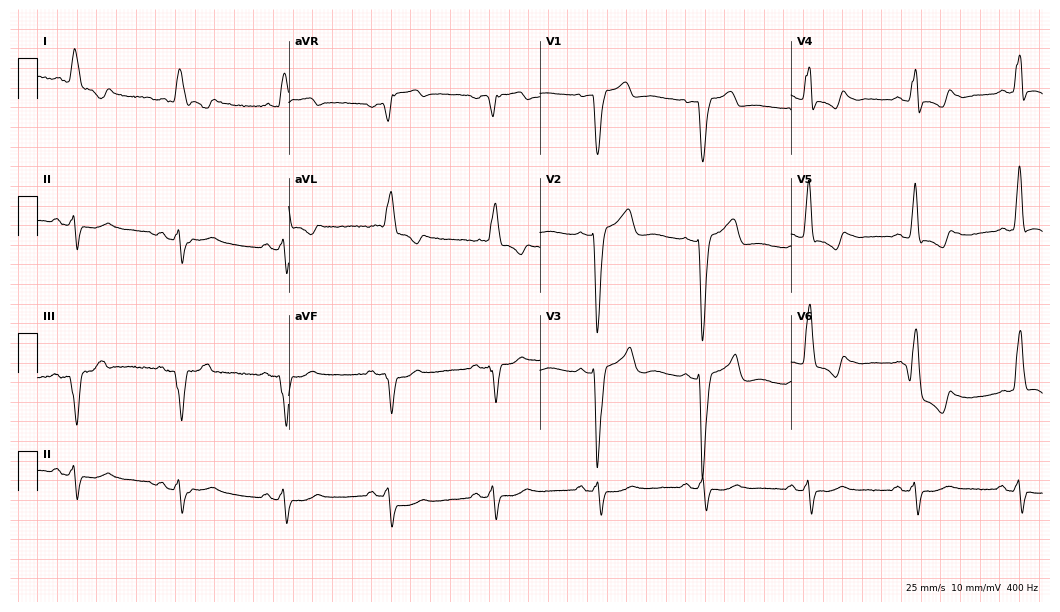
Resting 12-lead electrocardiogram. Patient: an 83-year-old man. The tracing shows left bundle branch block.